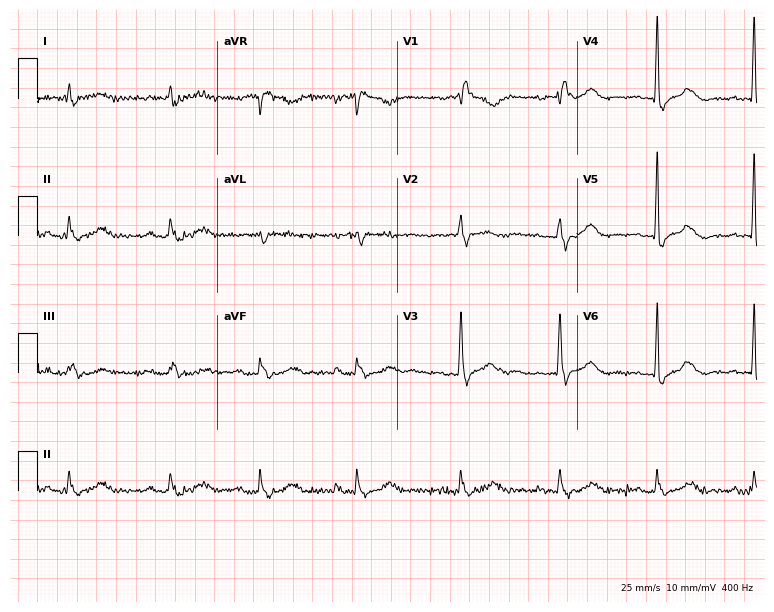
Electrocardiogram, a male, 81 years old. Interpretation includes right bundle branch block (RBBB), atrial fibrillation (AF).